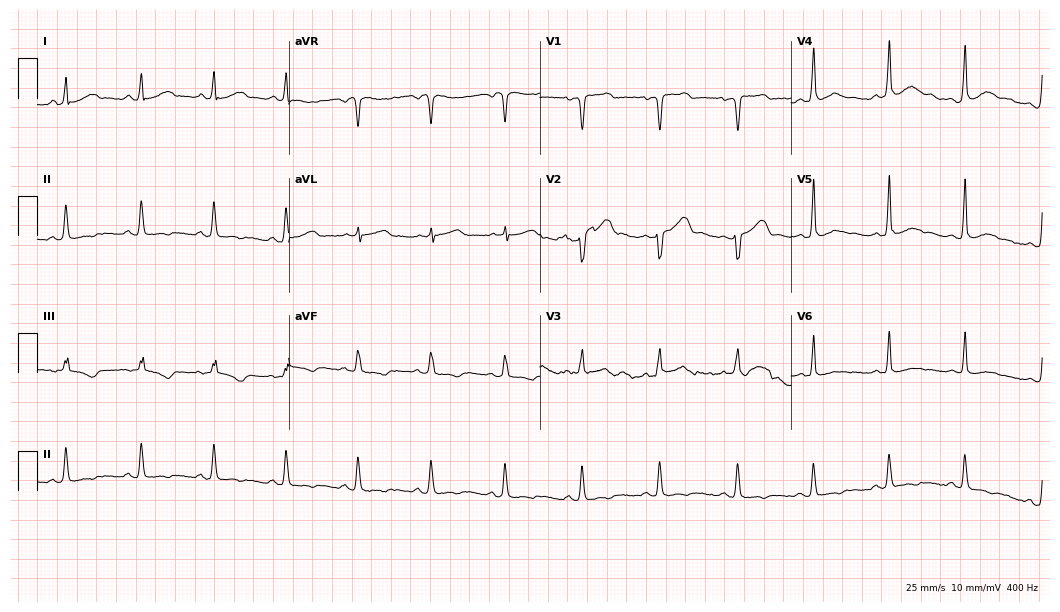
ECG (10.2-second recording at 400 Hz) — a man, 34 years old. Screened for six findings — first-degree AV block, right bundle branch block, left bundle branch block, sinus bradycardia, atrial fibrillation, sinus tachycardia — none is recorded.